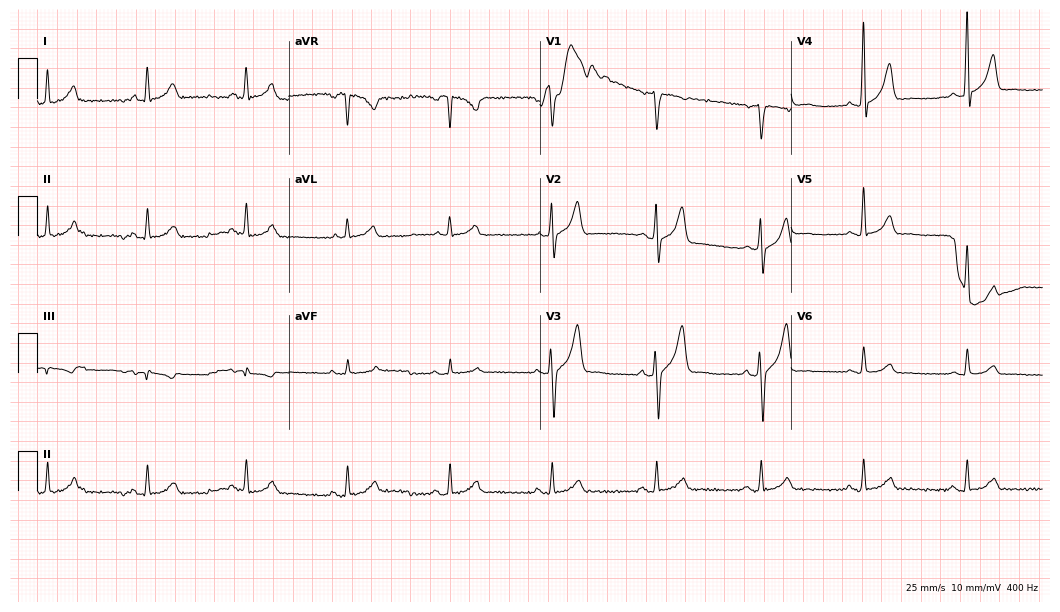
Standard 12-lead ECG recorded from a man, 55 years old (10.2-second recording at 400 Hz). None of these six findings is recorded: first-degree AV block, right bundle branch block (RBBB), left bundle branch block (LBBB), sinus bradycardia, atrial fibrillation (AF), sinus tachycardia.